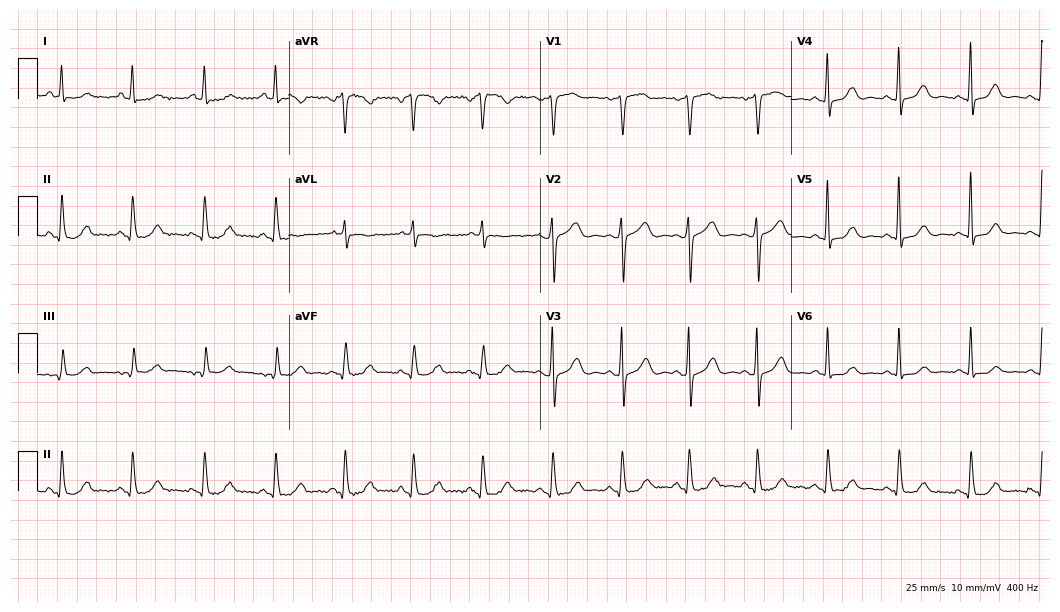
Standard 12-lead ECG recorded from a female patient, 58 years old. Read as a normal ECG.